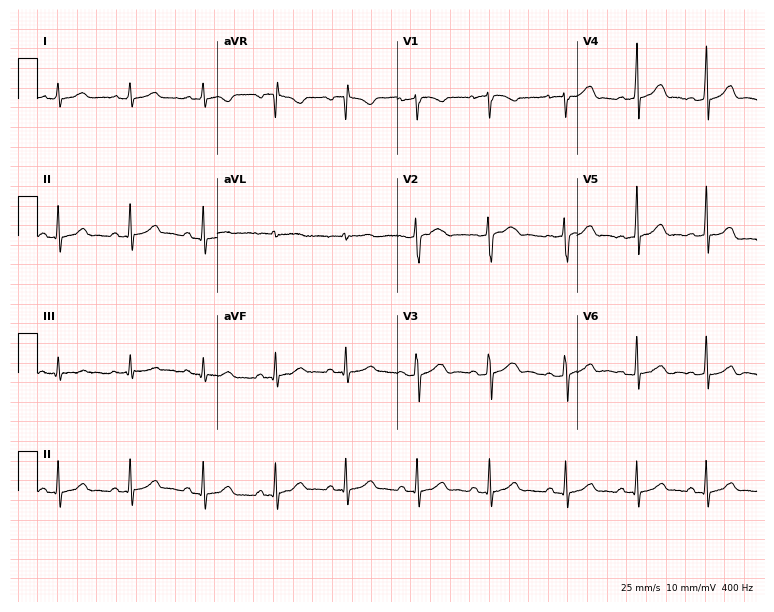
Resting 12-lead electrocardiogram. Patient: a female, 24 years old. Read as a normal ECG.